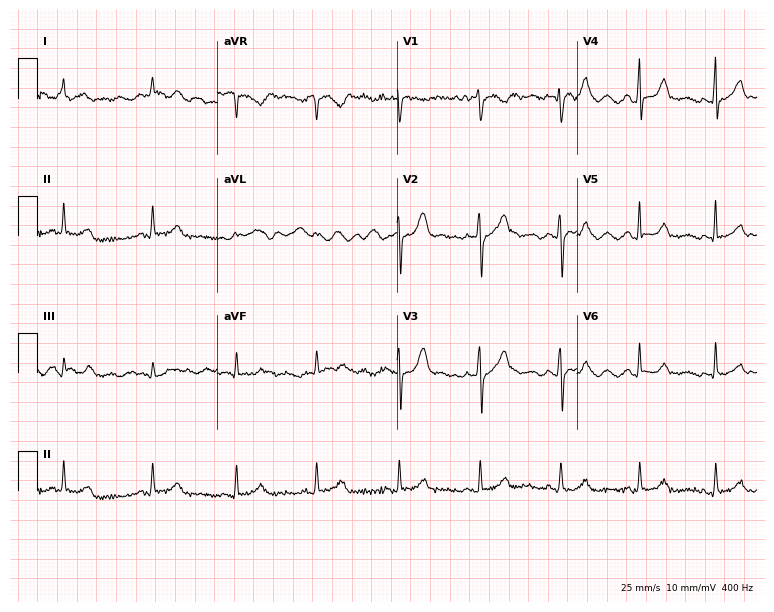
Electrocardiogram, a 34-year-old female. Of the six screened findings (first-degree AV block, right bundle branch block, left bundle branch block, sinus bradycardia, atrial fibrillation, sinus tachycardia), none is recorded. Findings outside these six are not listed.